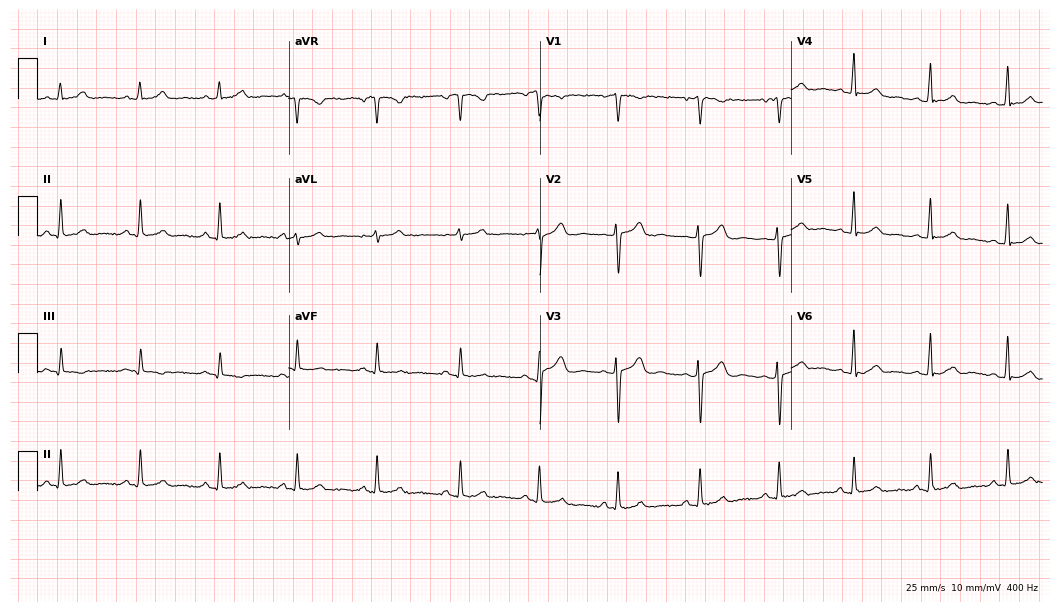
Electrocardiogram, a 35-year-old female. Of the six screened findings (first-degree AV block, right bundle branch block (RBBB), left bundle branch block (LBBB), sinus bradycardia, atrial fibrillation (AF), sinus tachycardia), none is recorded.